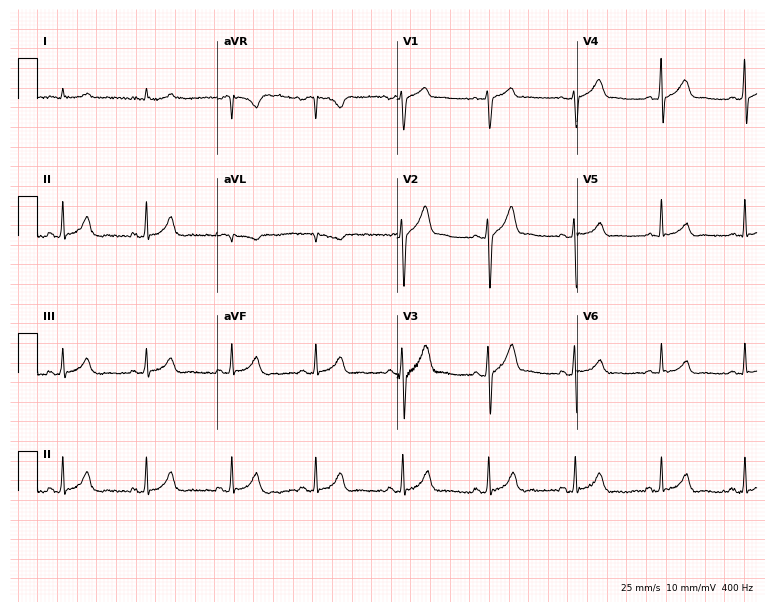
Electrocardiogram, a male, 63 years old. Overall reading on record: normal ECG.